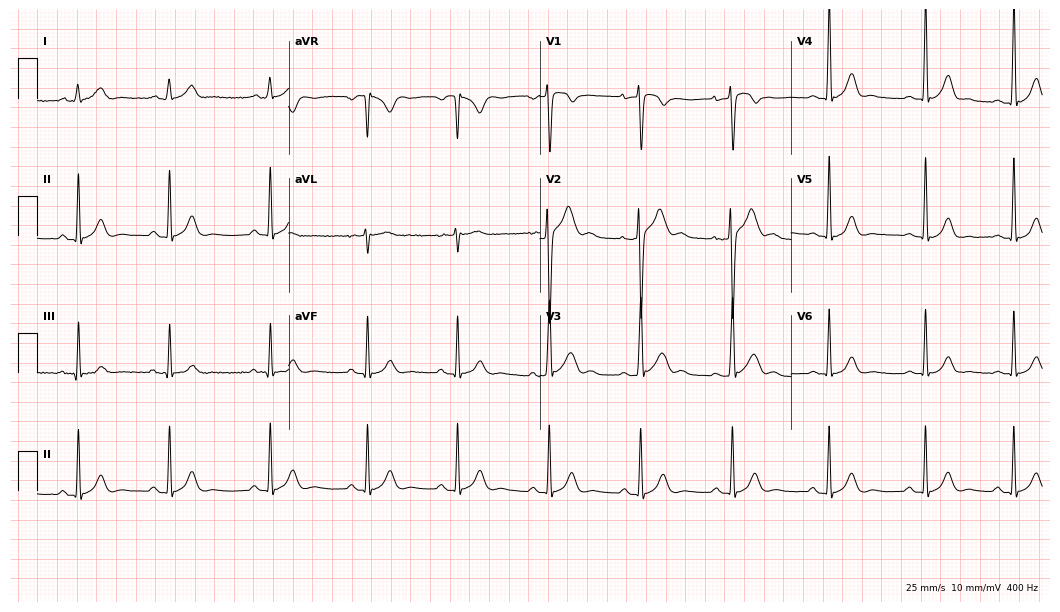
Standard 12-lead ECG recorded from a man, 19 years old (10.2-second recording at 400 Hz). Read as a normal ECG.